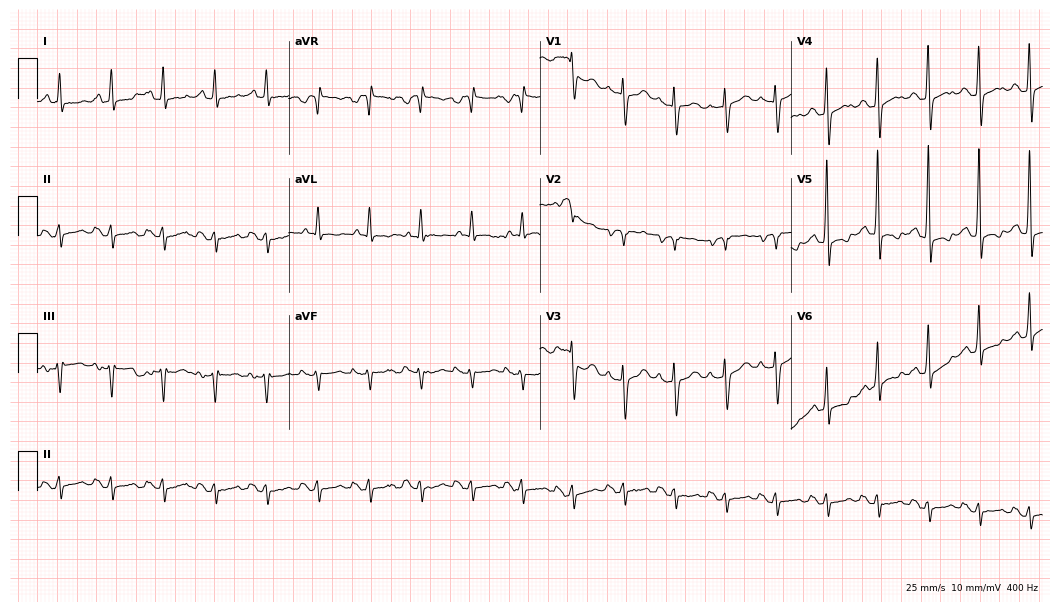
12-lead ECG from a man, 66 years old. No first-degree AV block, right bundle branch block (RBBB), left bundle branch block (LBBB), sinus bradycardia, atrial fibrillation (AF) or sinus tachycardia recorded for this tracing. Only these six findings were labelled.